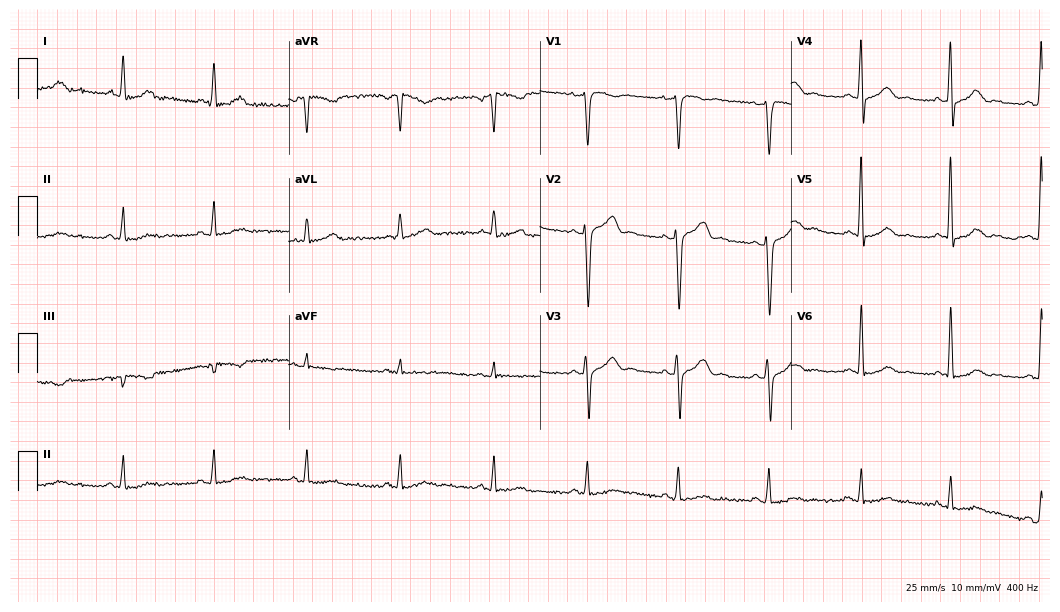
Electrocardiogram, a male patient, 45 years old. Overall reading on record: normal ECG.